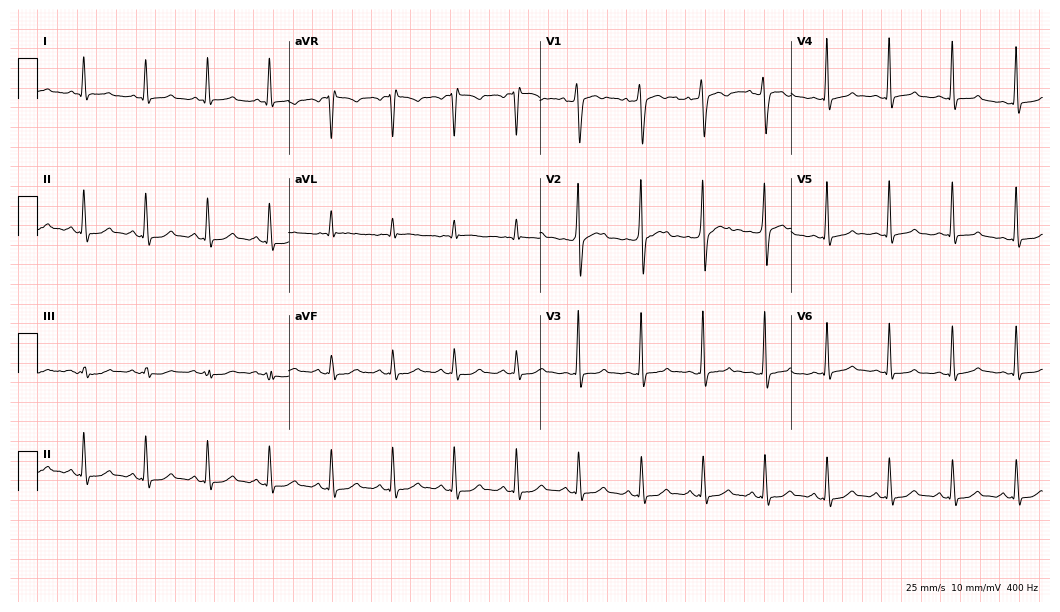
12-lead ECG from a male patient, 59 years old. No first-degree AV block, right bundle branch block (RBBB), left bundle branch block (LBBB), sinus bradycardia, atrial fibrillation (AF) or sinus tachycardia recorded for this tracing. Findings outside these six are not listed.